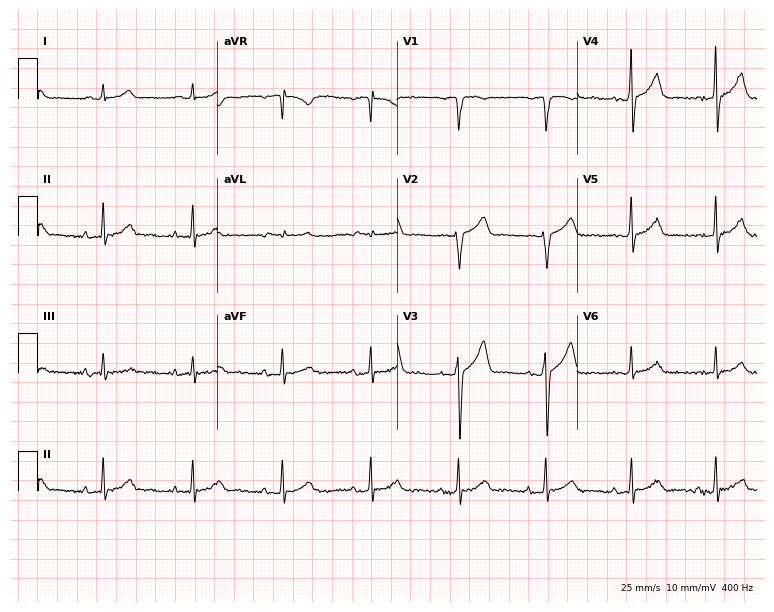
ECG — a male patient, 65 years old. Labelled as a normal ECG.